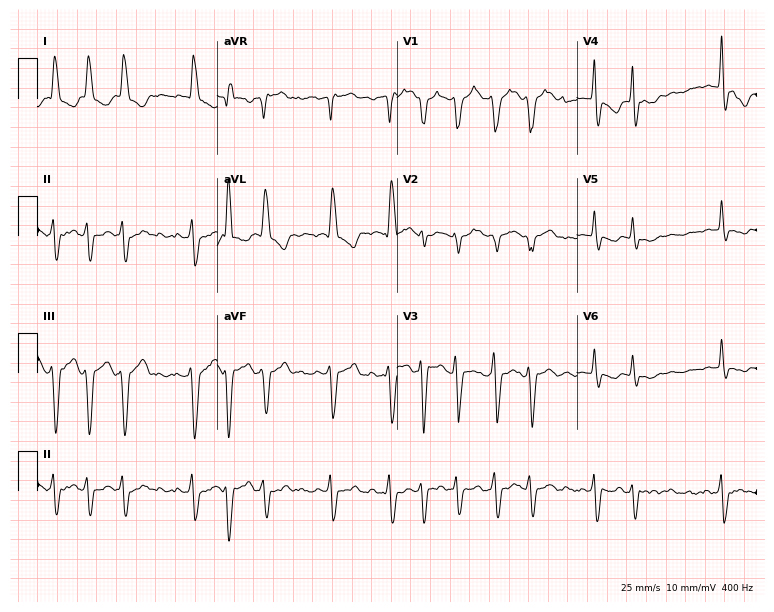
Electrocardiogram, a woman, 82 years old. Interpretation includes atrial fibrillation.